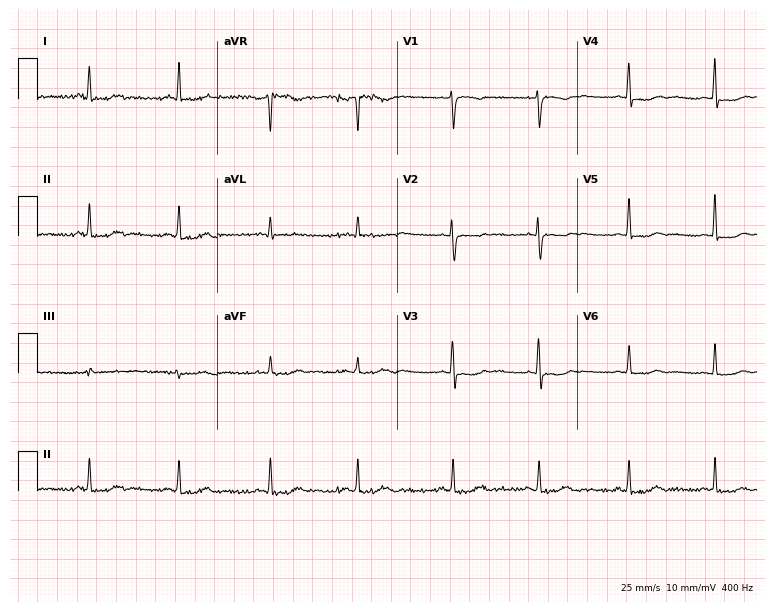
12-lead ECG from a female patient, 60 years old (7.3-second recording at 400 Hz). No first-degree AV block, right bundle branch block, left bundle branch block, sinus bradycardia, atrial fibrillation or sinus tachycardia recorded for this tracing. Other findings, if any, are not listed.